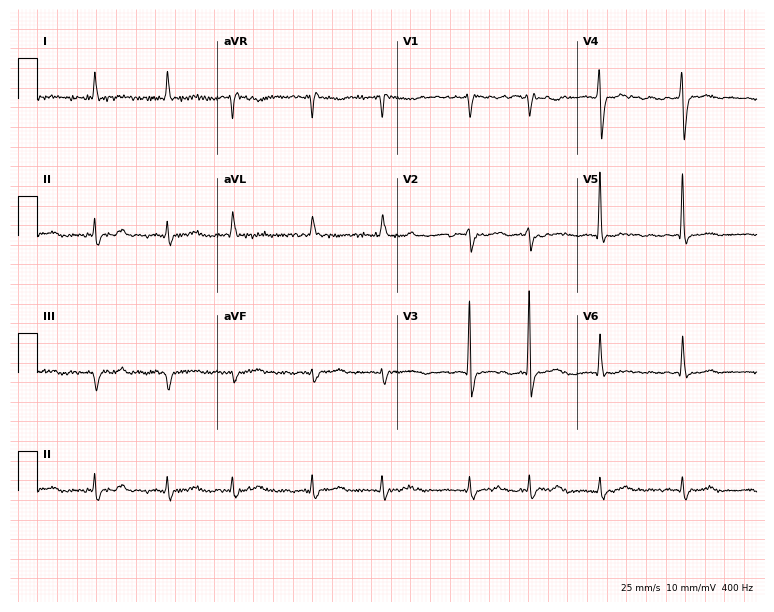
12-lead ECG from a woman, 73 years old (7.3-second recording at 400 Hz). Shows left bundle branch block, atrial fibrillation.